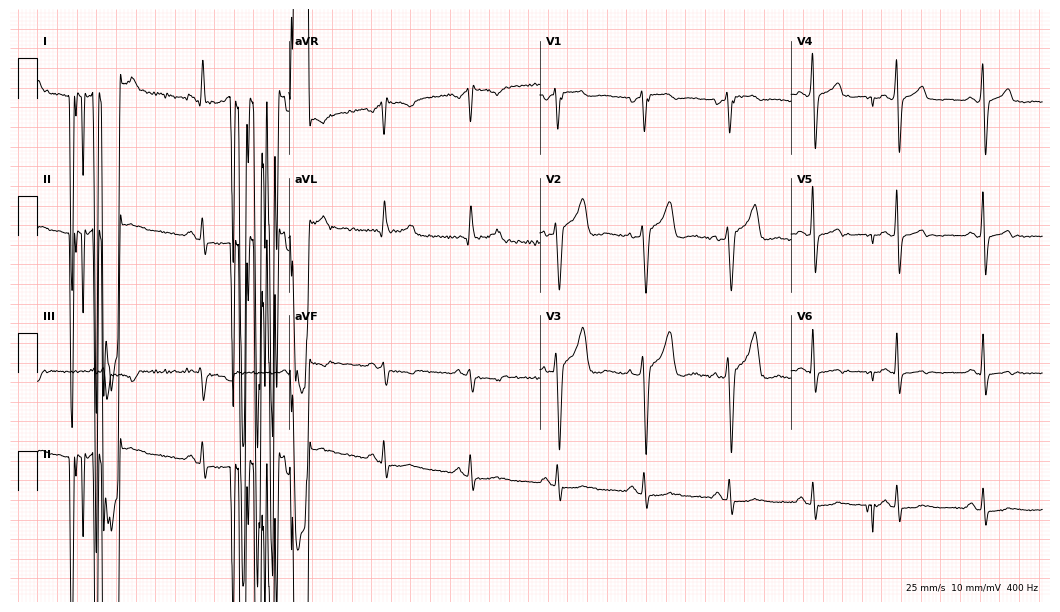
Resting 12-lead electrocardiogram. Patient: a man, 49 years old. None of these six findings is recorded: first-degree AV block, right bundle branch block, left bundle branch block, sinus bradycardia, atrial fibrillation, sinus tachycardia.